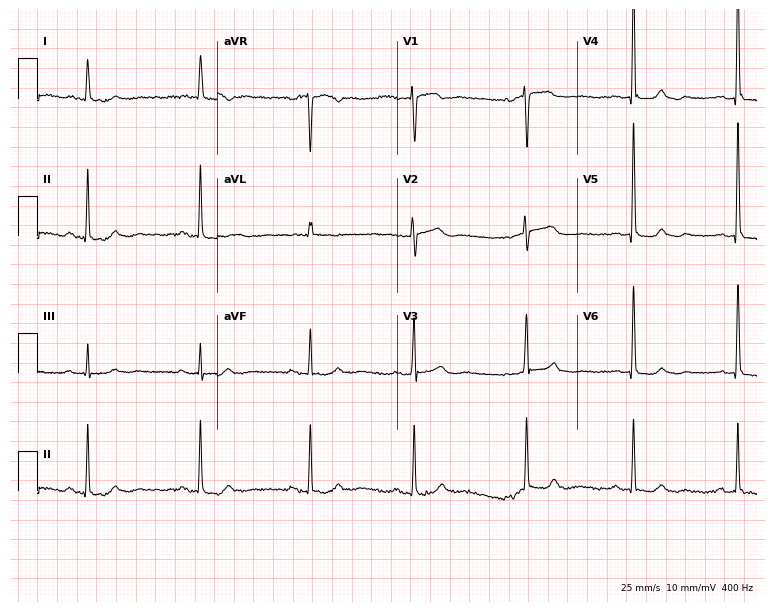
12-lead ECG from a female, 80 years old (7.3-second recording at 400 Hz). No first-degree AV block, right bundle branch block, left bundle branch block, sinus bradycardia, atrial fibrillation or sinus tachycardia recorded for this tracing.